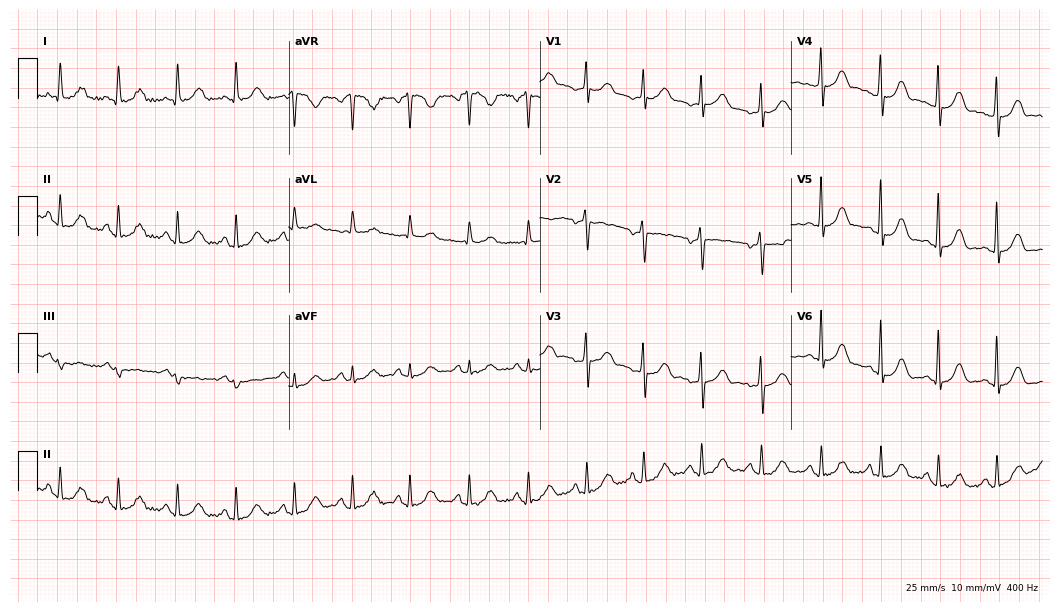
12-lead ECG from a 62-year-old woman. Recorded interpretation: within normal limits.